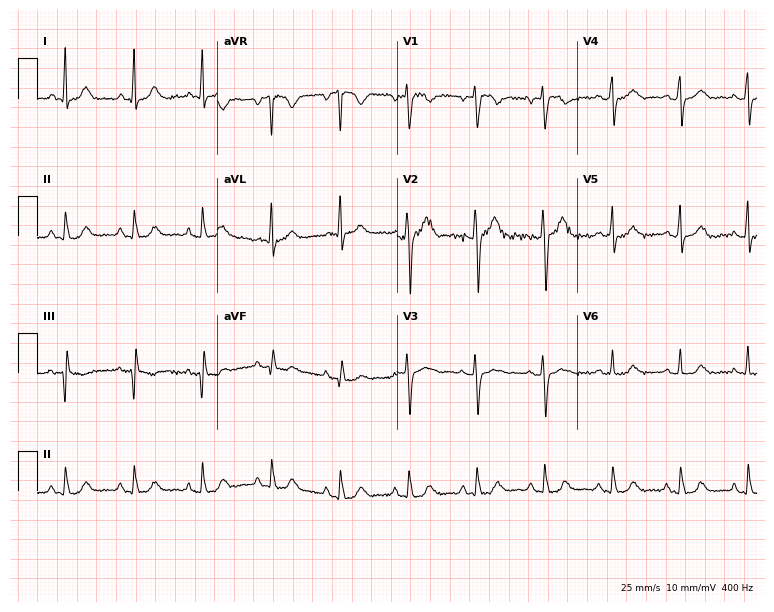
ECG (7.3-second recording at 400 Hz) — a woman, 59 years old. Screened for six findings — first-degree AV block, right bundle branch block, left bundle branch block, sinus bradycardia, atrial fibrillation, sinus tachycardia — none is recorded.